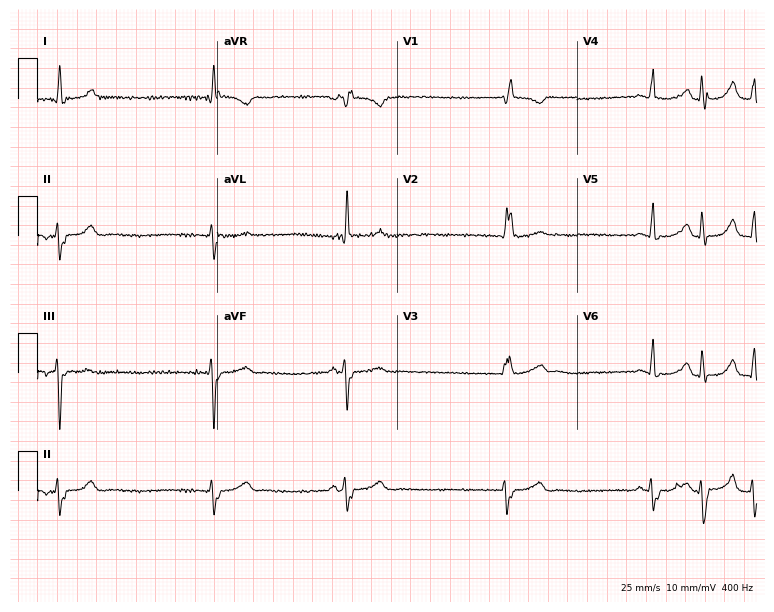
ECG (7.3-second recording at 400 Hz) — a 76-year-old female patient. Findings include right bundle branch block.